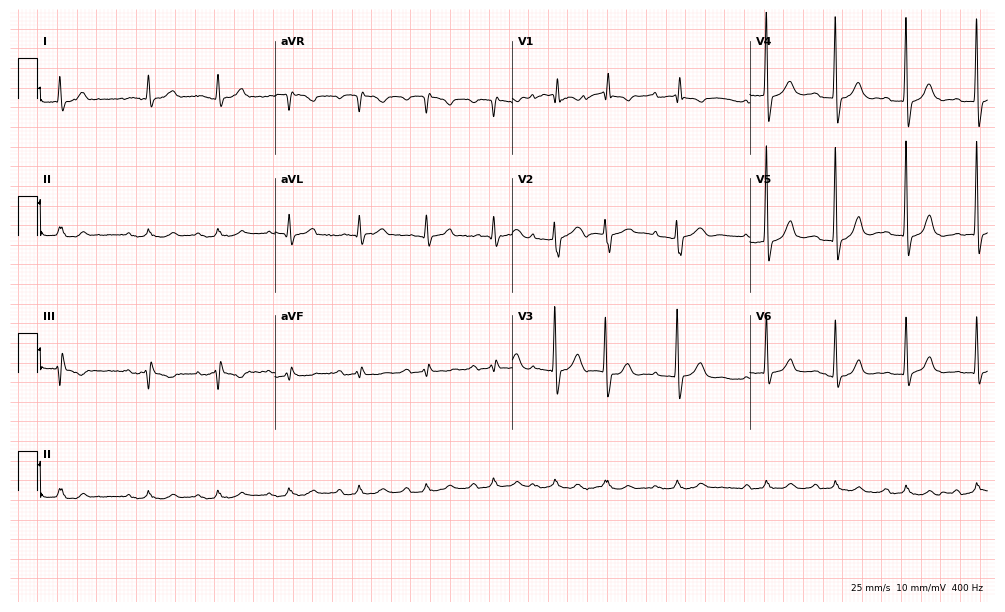
12-lead ECG (9.7-second recording at 400 Hz) from a male patient, 85 years old. Screened for six findings — first-degree AV block, right bundle branch block, left bundle branch block, sinus bradycardia, atrial fibrillation, sinus tachycardia — none is recorded.